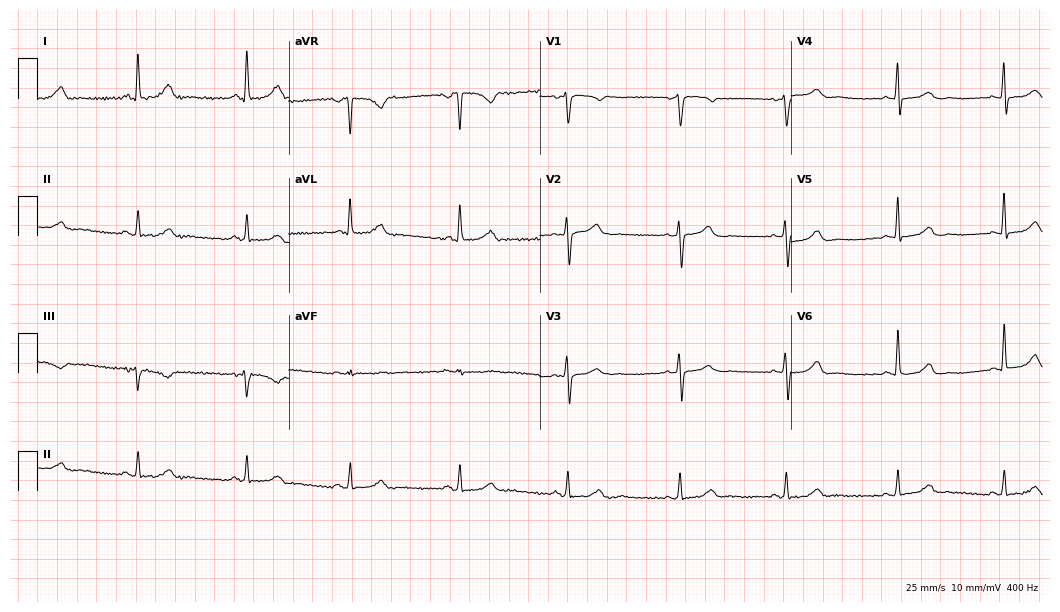
12-lead ECG (10.2-second recording at 400 Hz) from a woman, 58 years old. Screened for six findings — first-degree AV block, right bundle branch block, left bundle branch block, sinus bradycardia, atrial fibrillation, sinus tachycardia — none is recorded. Findings outside these six are not listed.